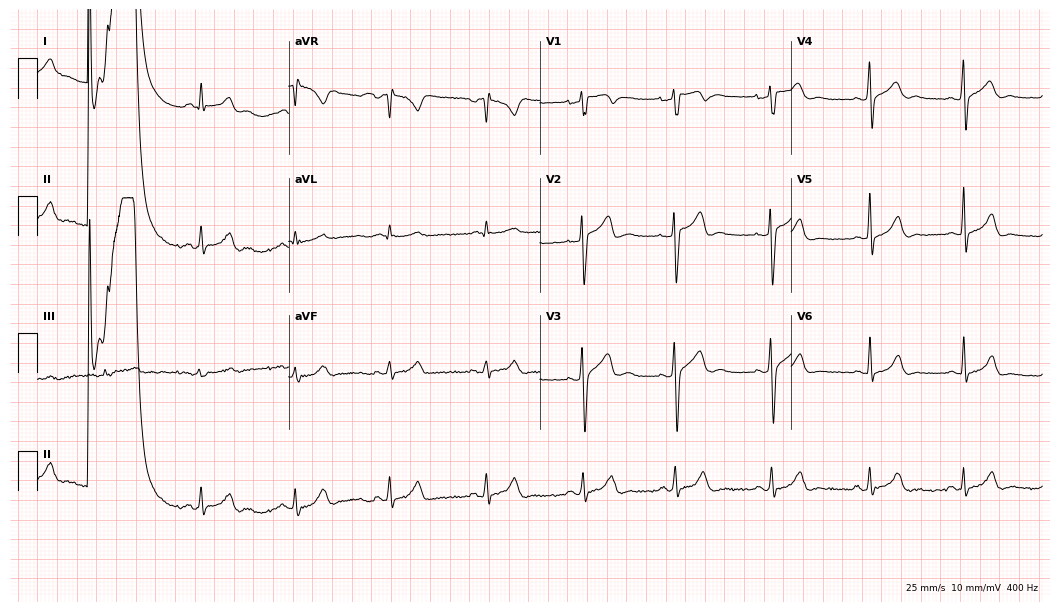
12-lead ECG from a 32-year-old male patient. Screened for six findings — first-degree AV block, right bundle branch block, left bundle branch block, sinus bradycardia, atrial fibrillation, sinus tachycardia — none is recorded.